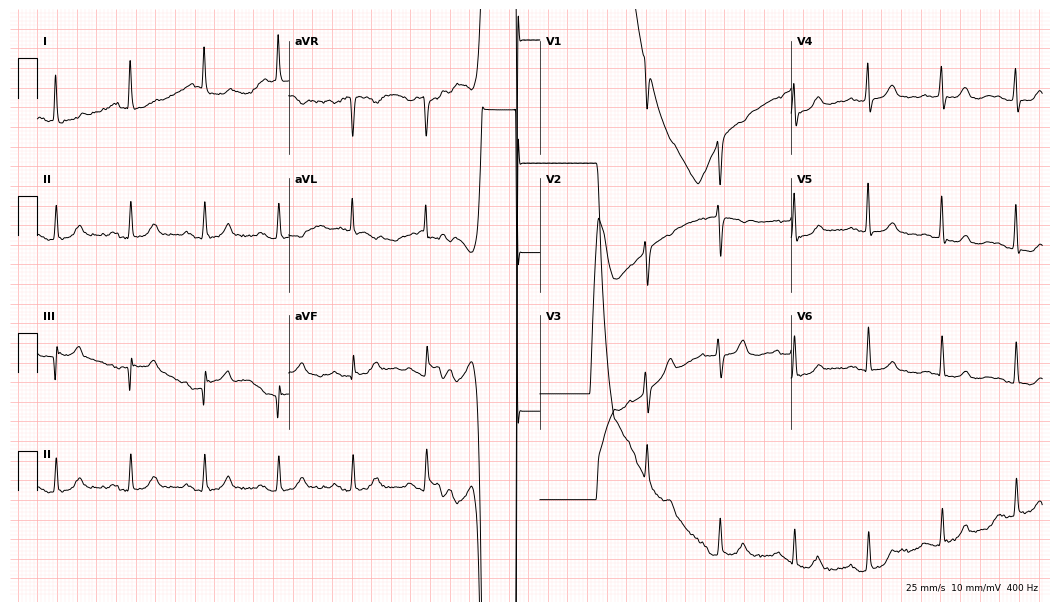
Electrocardiogram (10.2-second recording at 400 Hz), a female, 77 years old. Of the six screened findings (first-degree AV block, right bundle branch block, left bundle branch block, sinus bradycardia, atrial fibrillation, sinus tachycardia), none is recorded. Other findings, if any, are not listed.